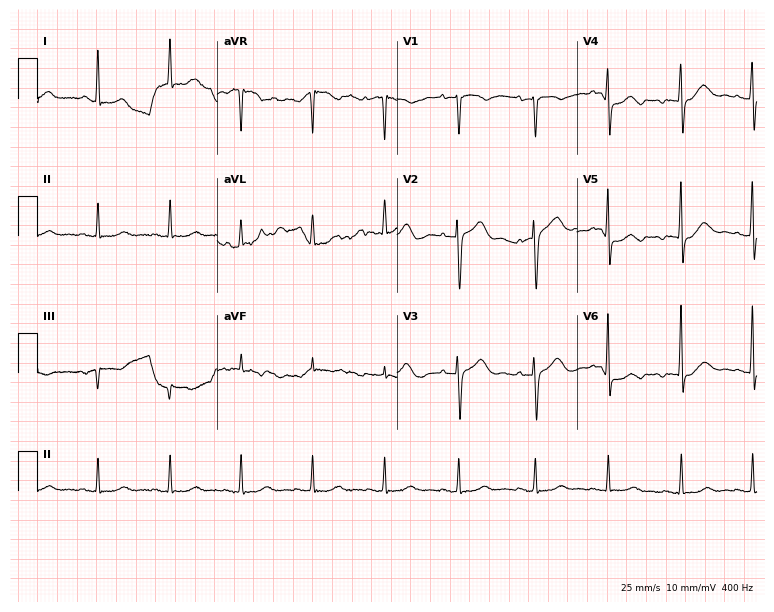
Electrocardiogram (7.3-second recording at 400 Hz), a female patient, 68 years old. Of the six screened findings (first-degree AV block, right bundle branch block (RBBB), left bundle branch block (LBBB), sinus bradycardia, atrial fibrillation (AF), sinus tachycardia), none is recorded. Findings outside these six are not listed.